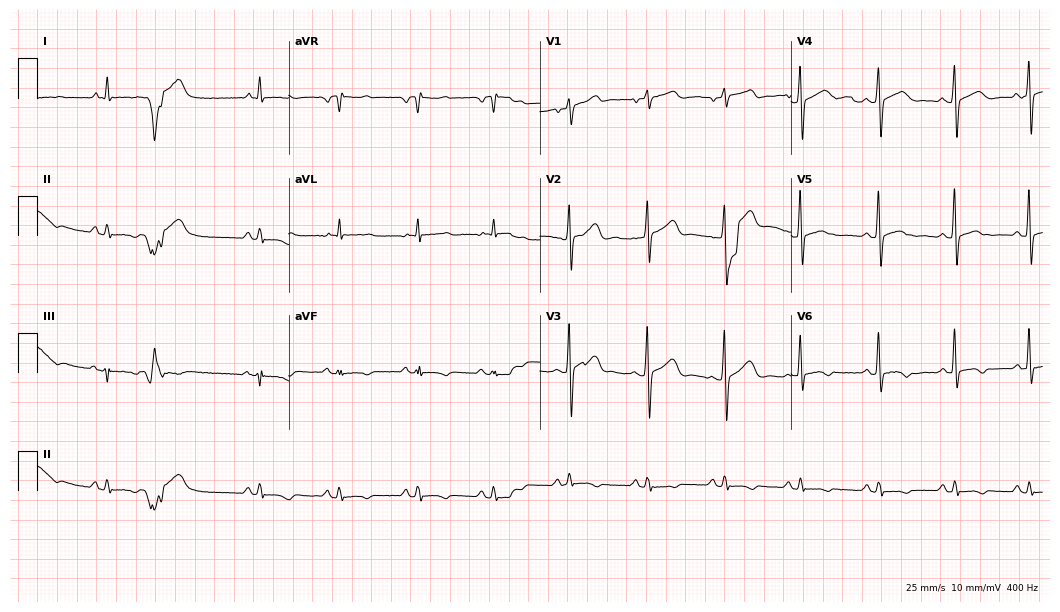
ECG (10.2-second recording at 400 Hz) — a male, 79 years old. Screened for six findings — first-degree AV block, right bundle branch block (RBBB), left bundle branch block (LBBB), sinus bradycardia, atrial fibrillation (AF), sinus tachycardia — none is recorded.